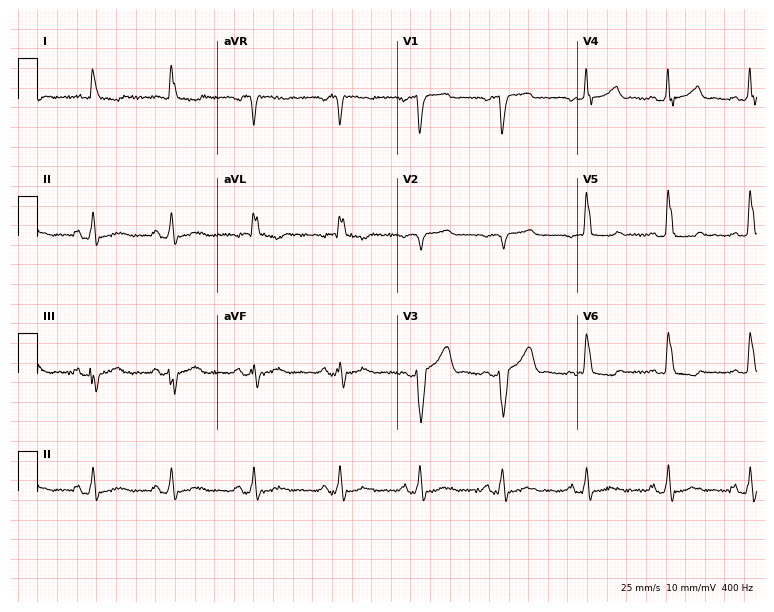
12-lead ECG from a woman, 73 years old (7.3-second recording at 400 Hz). No first-degree AV block, right bundle branch block (RBBB), left bundle branch block (LBBB), sinus bradycardia, atrial fibrillation (AF) or sinus tachycardia recorded for this tracing. Findings outside these six are not listed.